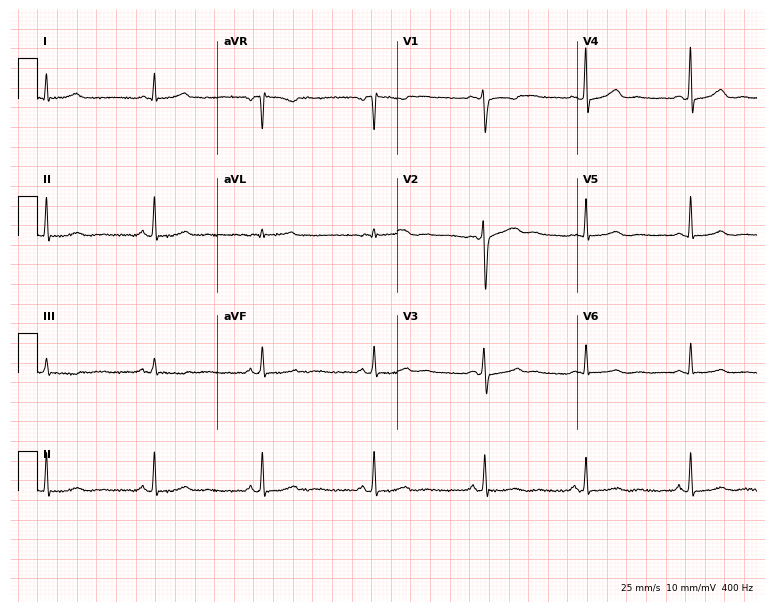
Resting 12-lead electrocardiogram. Patient: a 35-year-old female. Read as a normal ECG.